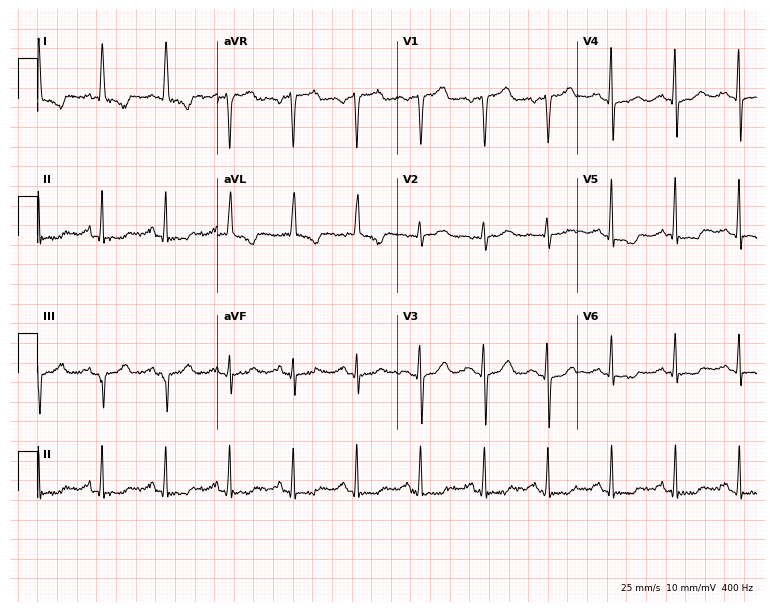
12-lead ECG (7.3-second recording at 400 Hz) from a female, 80 years old. Screened for six findings — first-degree AV block, right bundle branch block (RBBB), left bundle branch block (LBBB), sinus bradycardia, atrial fibrillation (AF), sinus tachycardia — none is recorded.